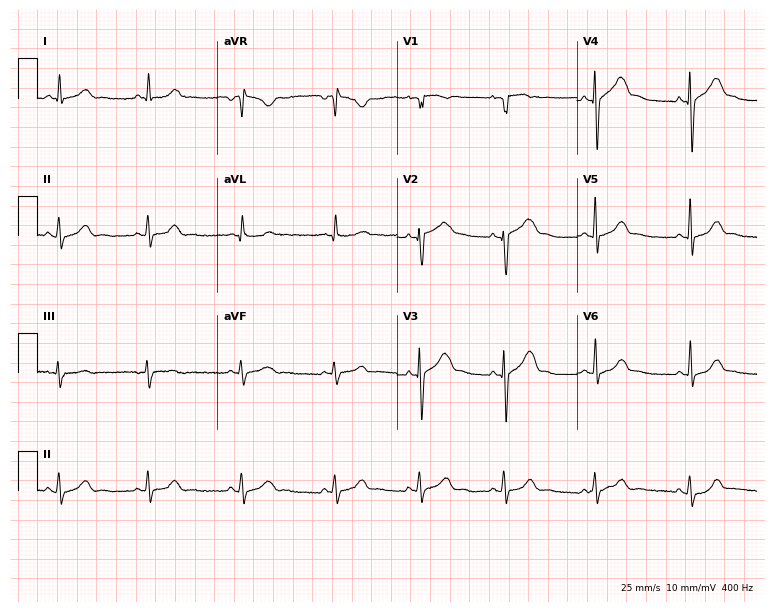
ECG (7.3-second recording at 400 Hz) — a male patient, 57 years old. Screened for six findings — first-degree AV block, right bundle branch block, left bundle branch block, sinus bradycardia, atrial fibrillation, sinus tachycardia — none is recorded.